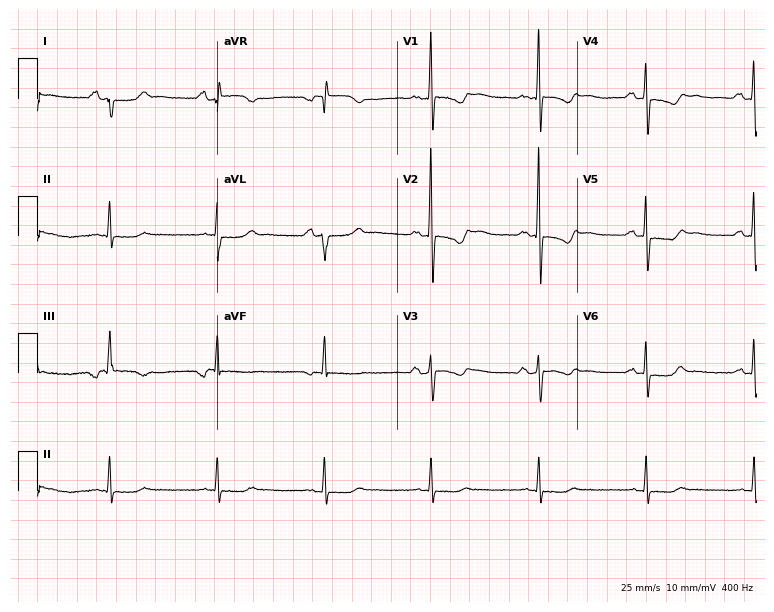
ECG — a female, 67 years old. Screened for six findings — first-degree AV block, right bundle branch block, left bundle branch block, sinus bradycardia, atrial fibrillation, sinus tachycardia — none is recorded.